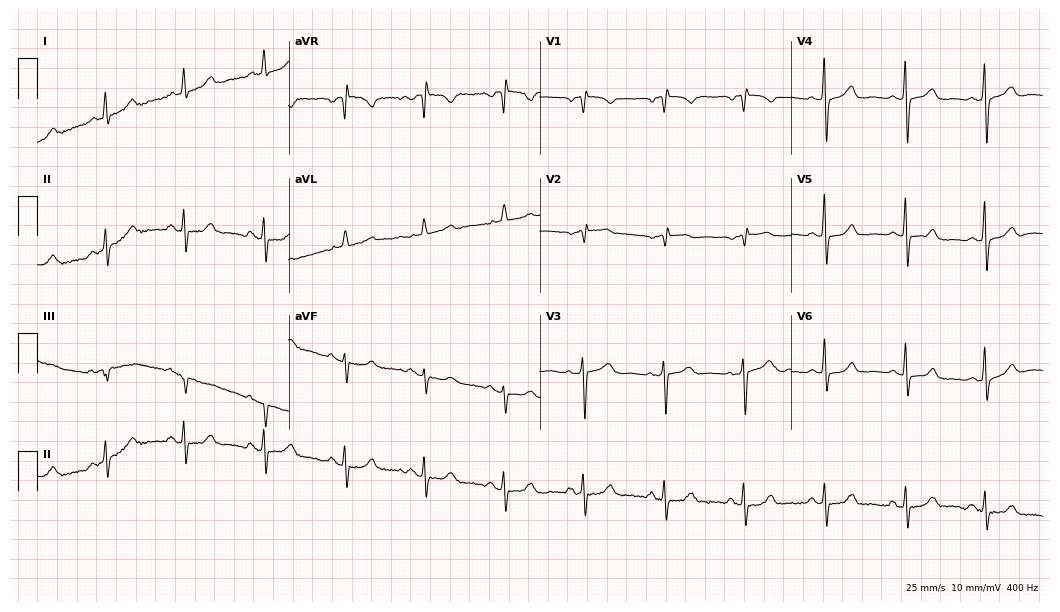
Resting 12-lead electrocardiogram. Patient: a 70-year-old female. None of these six findings is recorded: first-degree AV block, right bundle branch block (RBBB), left bundle branch block (LBBB), sinus bradycardia, atrial fibrillation (AF), sinus tachycardia.